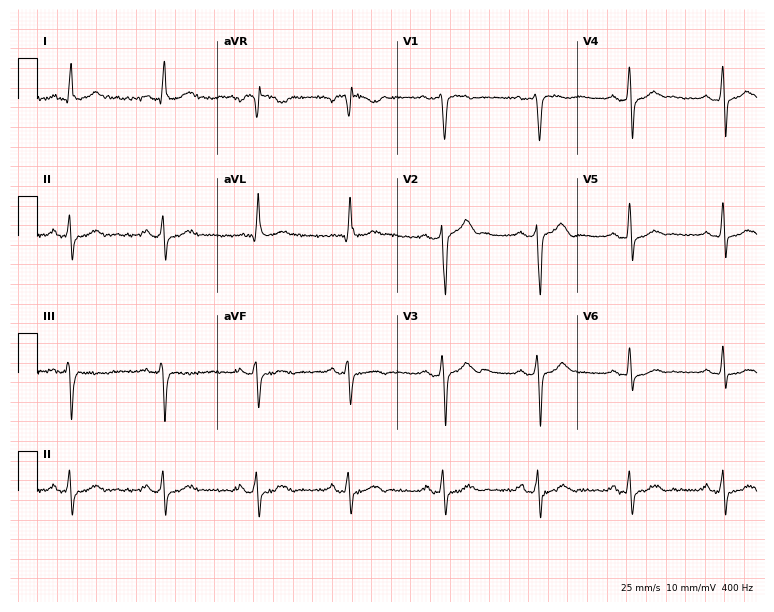
Standard 12-lead ECG recorded from a male patient, 52 years old. None of these six findings is recorded: first-degree AV block, right bundle branch block (RBBB), left bundle branch block (LBBB), sinus bradycardia, atrial fibrillation (AF), sinus tachycardia. Findings outside these six are not listed.